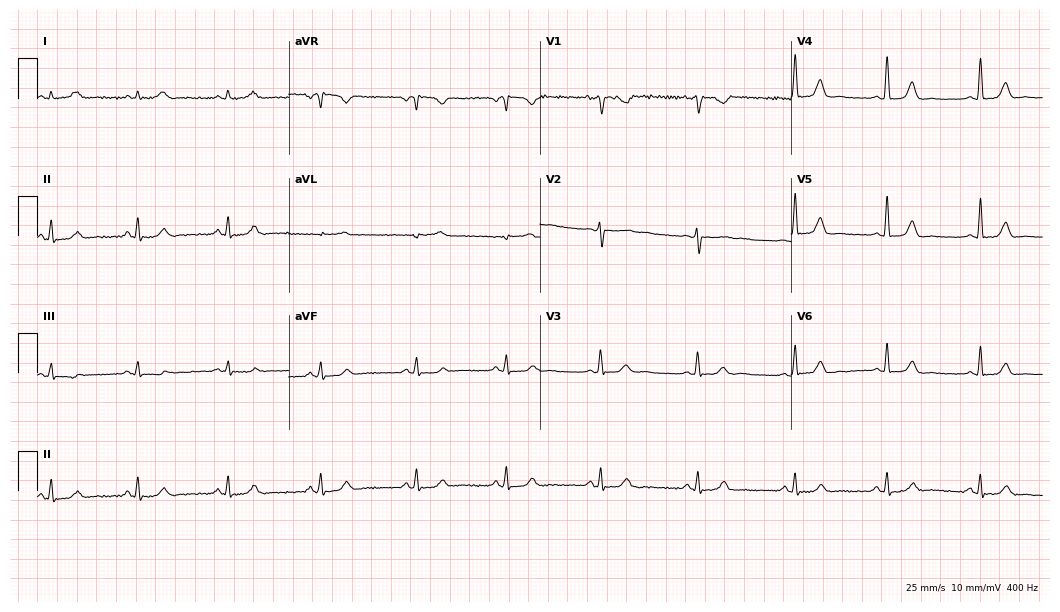
Standard 12-lead ECG recorded from a 38-year-old female patient. None of these six findings is recorded: first-degree AV block, right bundle branch block, left bundle branch block, sinus bradycardia, atrial fibrillation, sinus tachycardia.